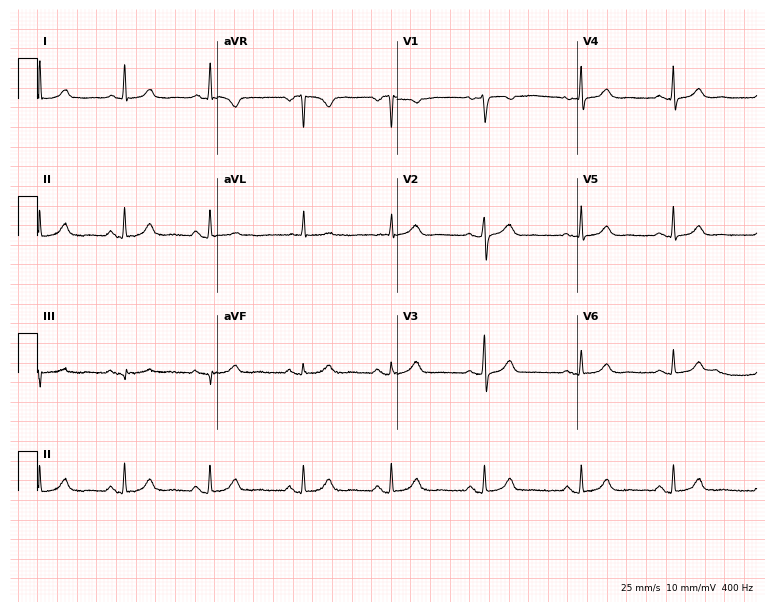
Standard 12-lead ECG recorded from a 53-year-old woman (7.3-second recording at 400 Hz). Read as a normal ECG.